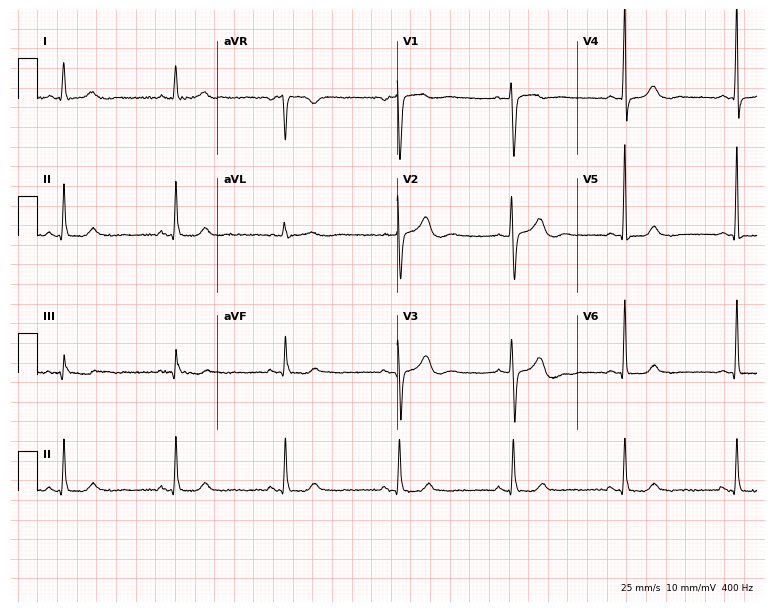
Electrocardiogram, a woman, 46 years old. Overall reading on record: normal ECG.